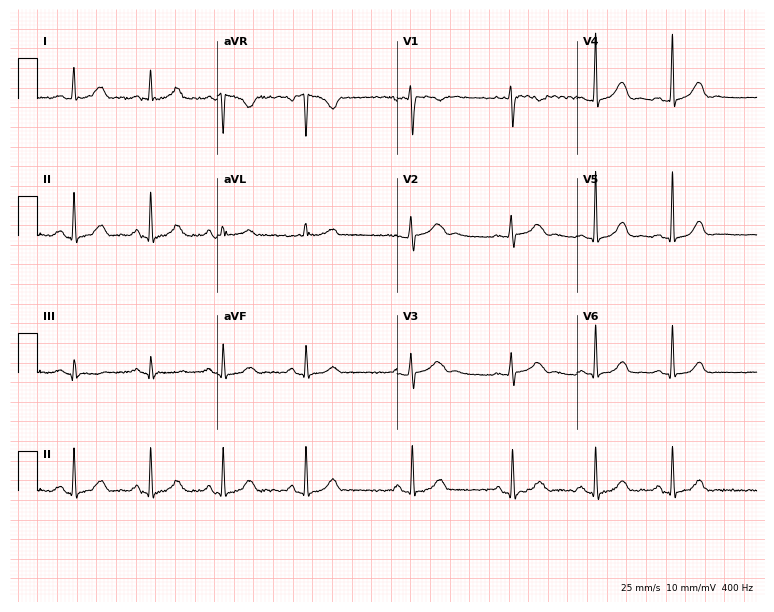
12-lead ECG from a 29-year-old woman (7.3-second recording at 400 Hz). No first-degree AV block, right bundle branch block, left bundle branch block, sinus bradycardia, atrial fibrillation or sinus tachycardia recorded for this tracing. Only these six findings were labelled.